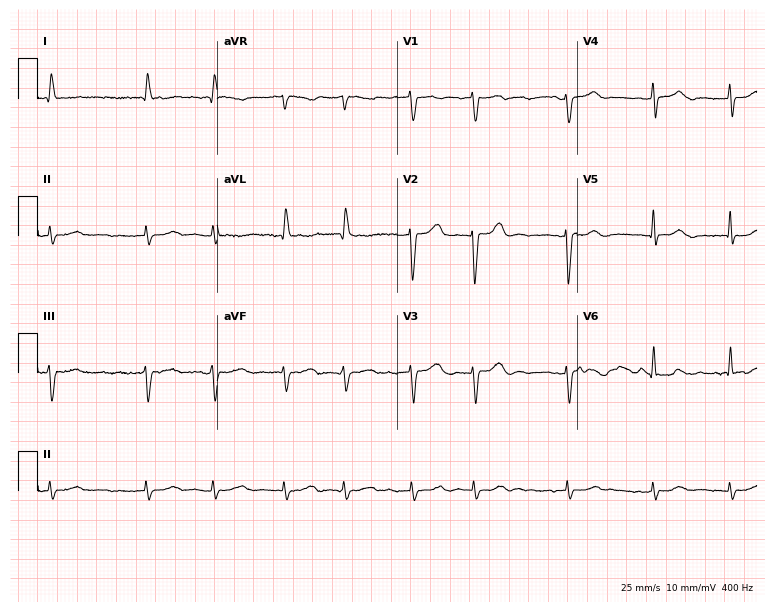
Resting 12-lead electrocardiogram. Patient: a female, 85 years old. The tracing shows atrial fibrillation.